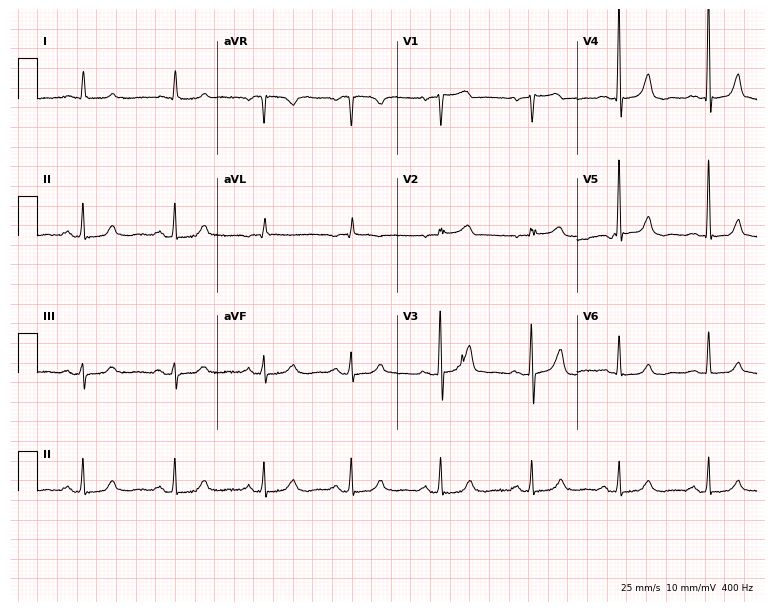
ECG (7.3-second recording at 400 Hz) — a 79-year-old female. Labelled as a normal ECG.